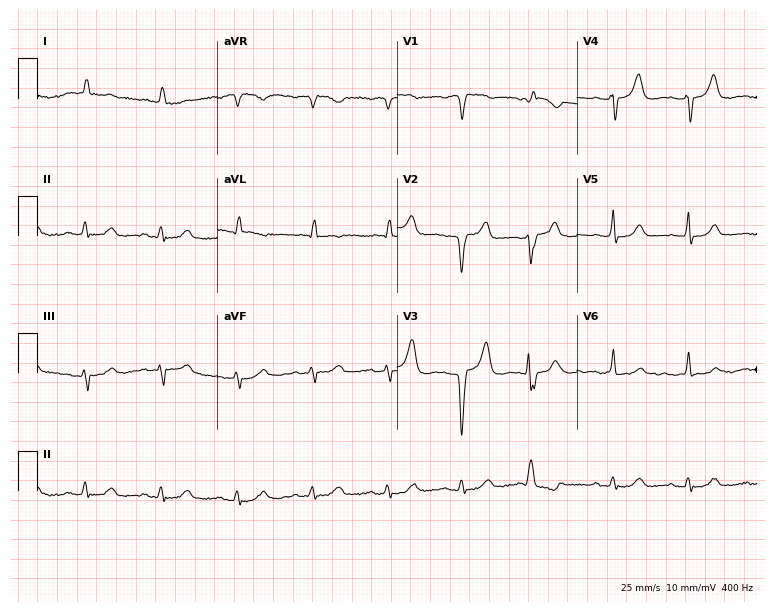
Standard 12-lead ECG recorded from a female, 65 years old. None of these six findings is recorded: first-degree AV block, right bundle branch block, left bundle branch block, sinus bradycardia, atrial fibrillation, sinus tachycardia.